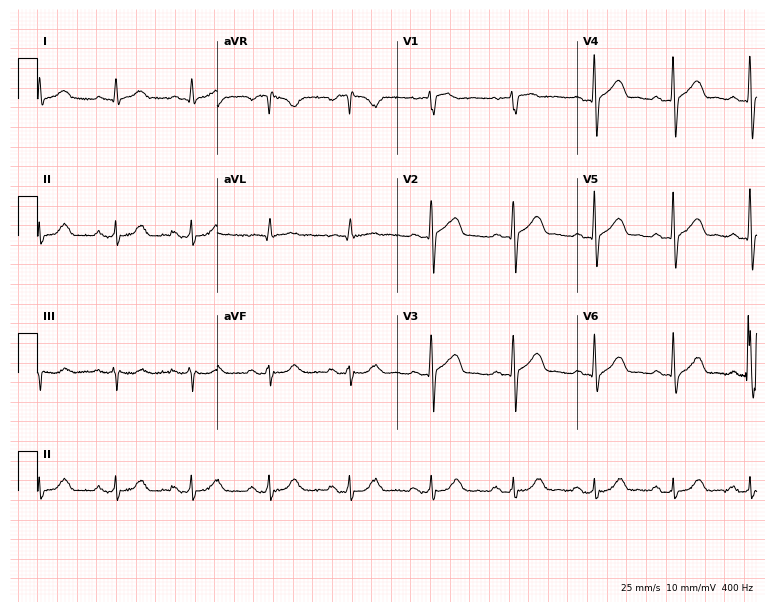
Electrocardiogram (7.3-second recording at 400 Hz), a 75-year-old man. Overall reading on record: normal ECG.